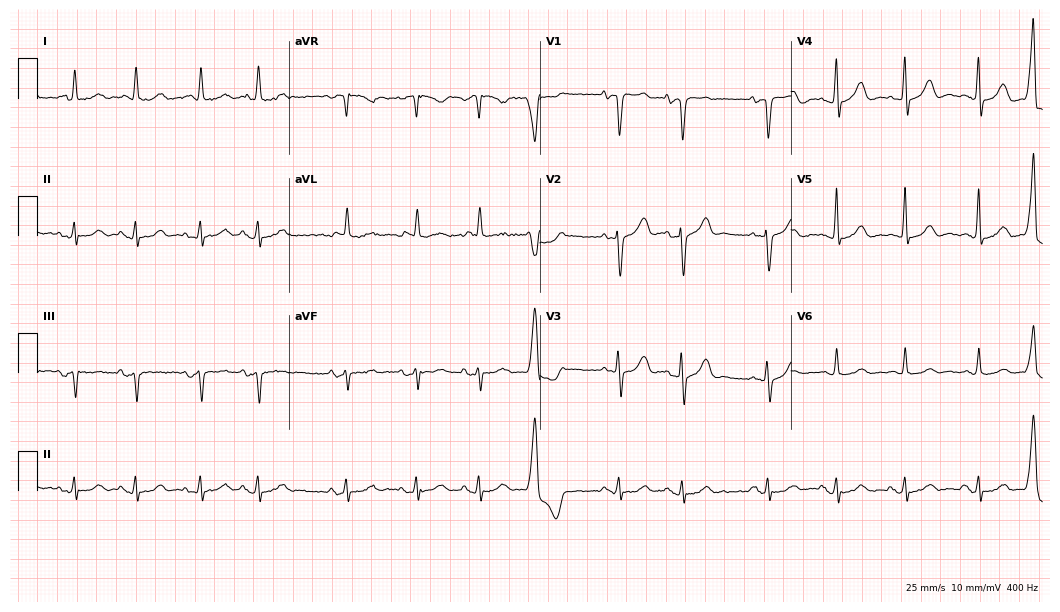
Standard 12-lead ECG recorded from a 78-year-old man (10.2-second recording at 400 Hz). None of these six findings is recorded: first-degree AV block, right bundle branch block, left bundle branch block, sinus bradycardia, atrial fibrillation, sinus tachycardia.